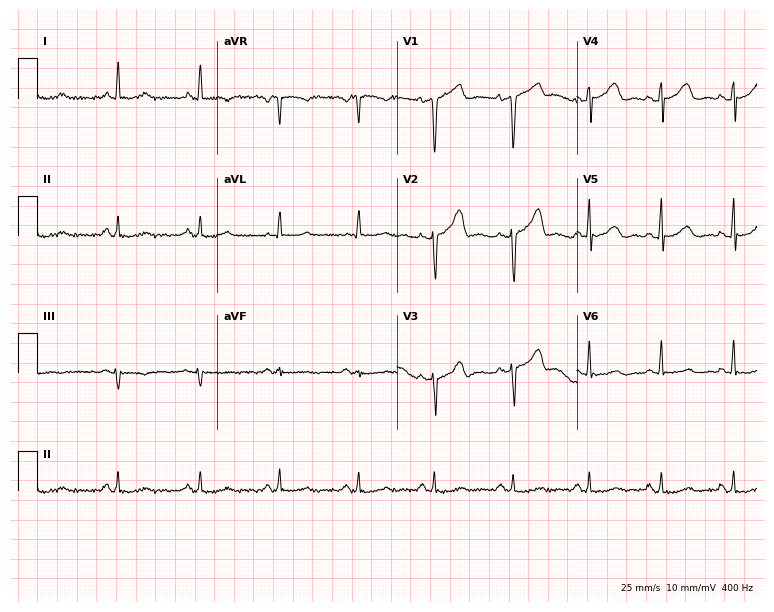
ECG (7.3-second recording at 400 Hz) — a male patient, 64 years old. Screened for six findings — first-degree AV block, right bundle branch block (RBBB), left bundle branch block (LBBB), sinus bradycardia, atrial fibrillation (AF), sinus tachycardia — none is recorded. Other findings, if any, are not listed.